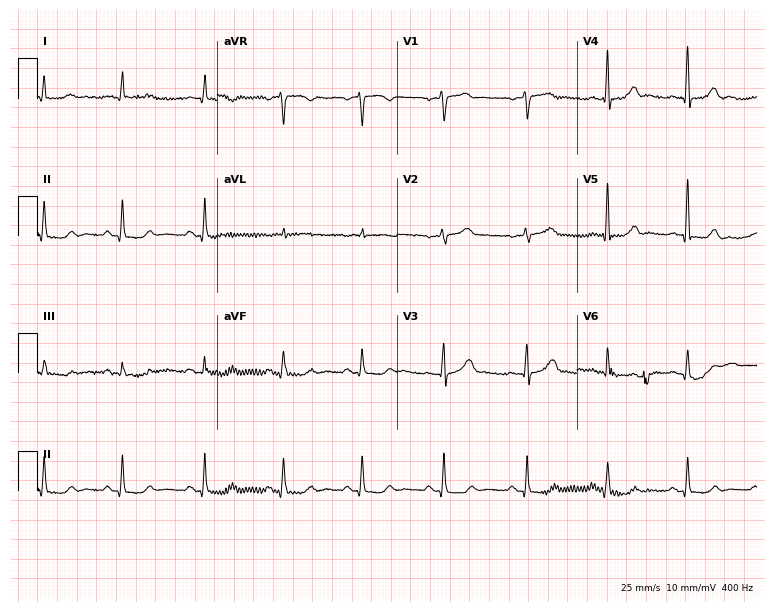
Electrocardiogram (7.3-second recording at 400 Hz), a male, 76 years old. Of the six screened findings (first-degree AV block, right bundle branch block, left bundle branch block, sinus bradycardia, atrial fibrillation, sinus tachycardia), none is recorded. Findings outside these six are not listed.